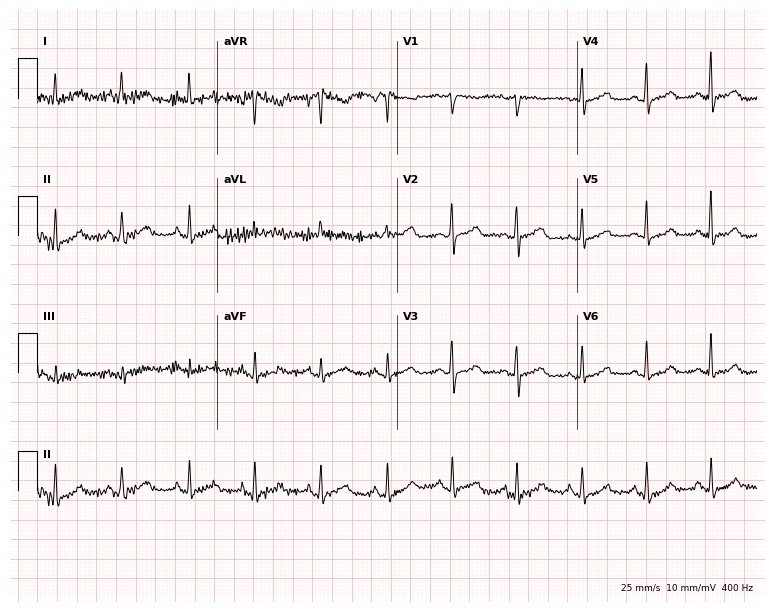
Resting 12-lead electrocardiogram (7.3-second recording at 400 Hz). Patient: a woman, 62 years old. None of these six findings is recorded: first-degree AV block, right bundle branch block, left bundle branch block, sinus bradycardia, atrial fibrillation, sinus tachycardia.